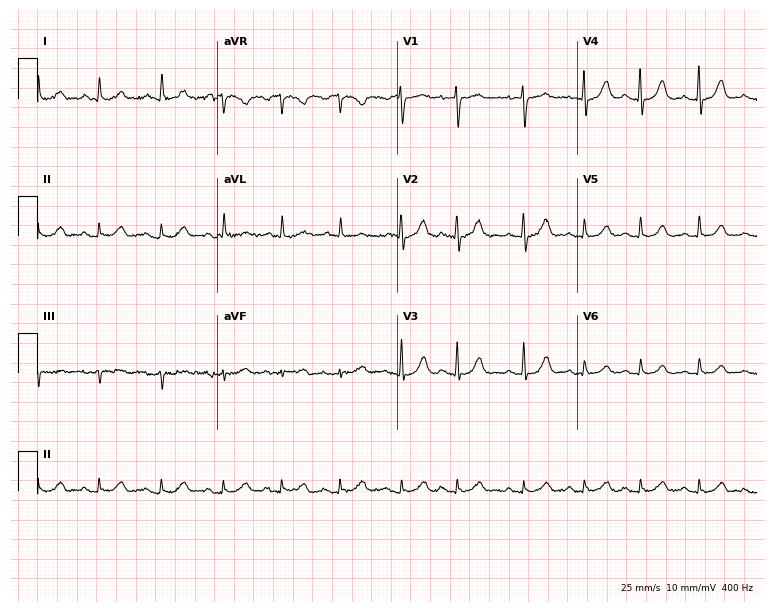
Standard 12-lead ECG recorded from an 84-year-old woman. None of these six findings is recorded: first-degree AV block, right bundle branch block, left bundle branch block, sinus bradycardia, atrial fibrillation, sinus tachycardia.